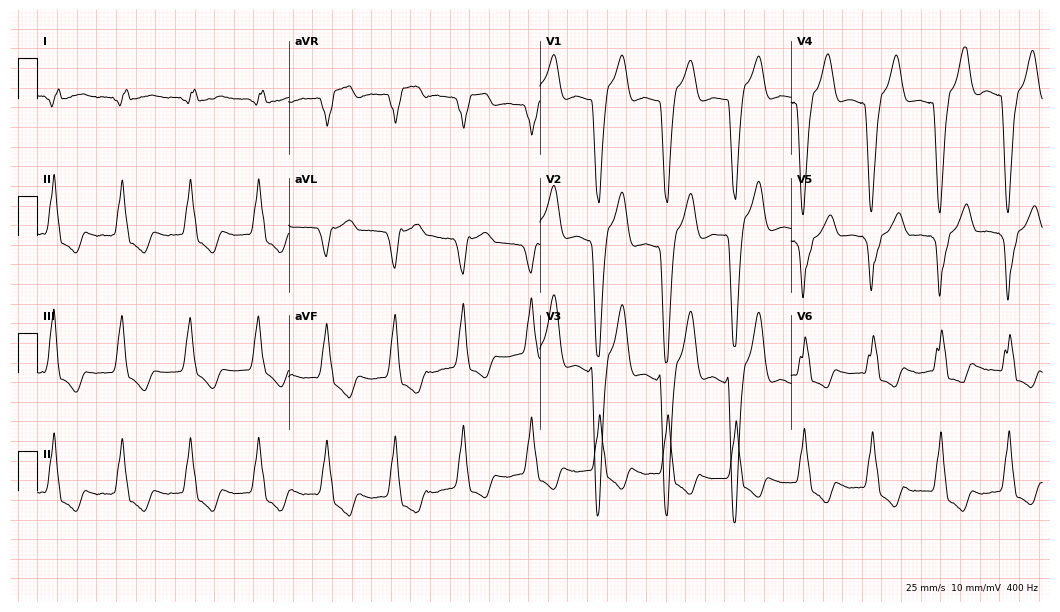
Electrocardiogram, a female, 57 years old. Of the six screened findings (first-degree AV block, right bundle branch block (RBBB), left bundle branch block (LBBB), sinus bradycardia, atrial fibrillation (AF), sinus tachycardia), none is recorded.